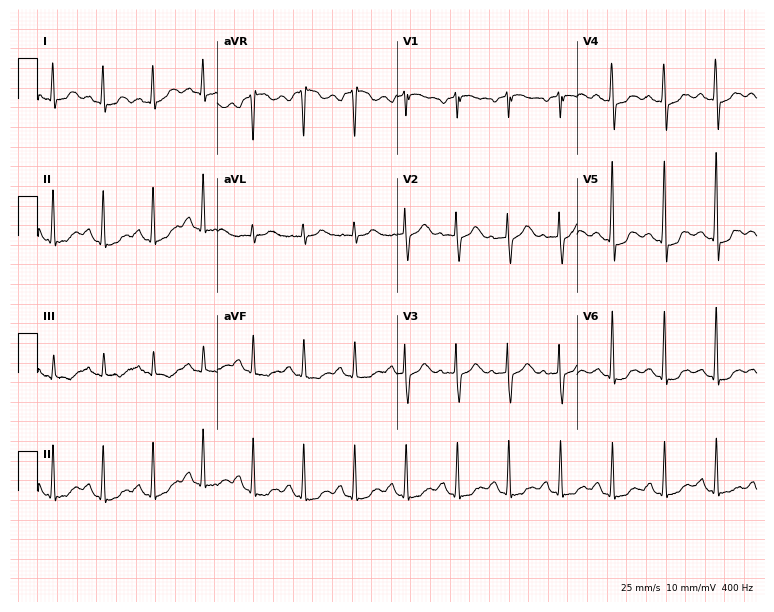
Resting 12-lead electrocardiogram (7.3-second recording at 400 Hz). Patient: a female, 64 years old. The tracing shows sinus tachycardia (a sinus rate of 100 beats per minute or more).